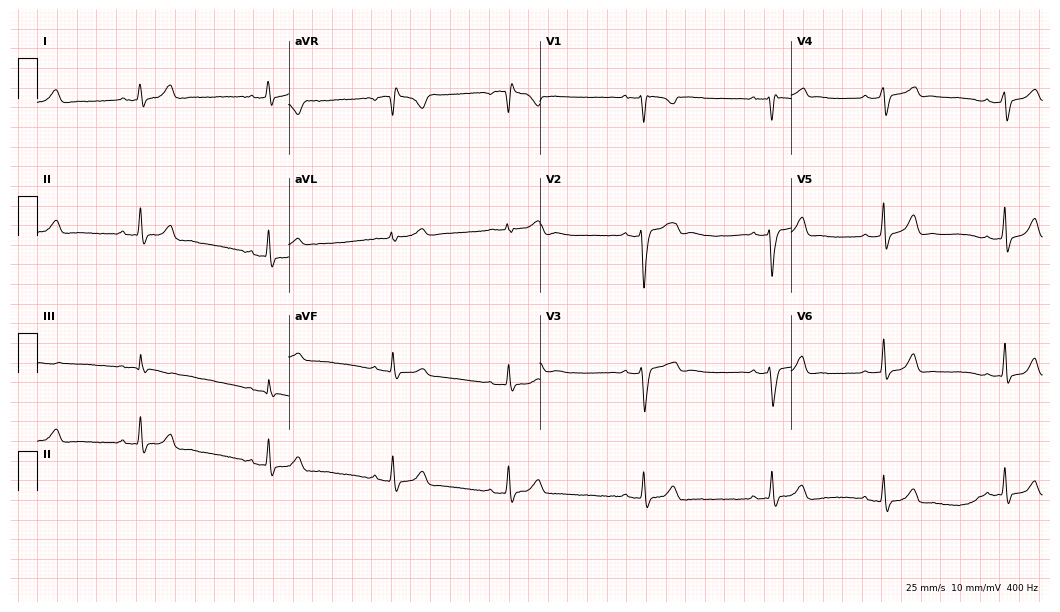
Electrocardiogram, a woman, 19 years old. Interpretation includes sinus bradycardia (a sinus rate of 50 beats per minute or less).